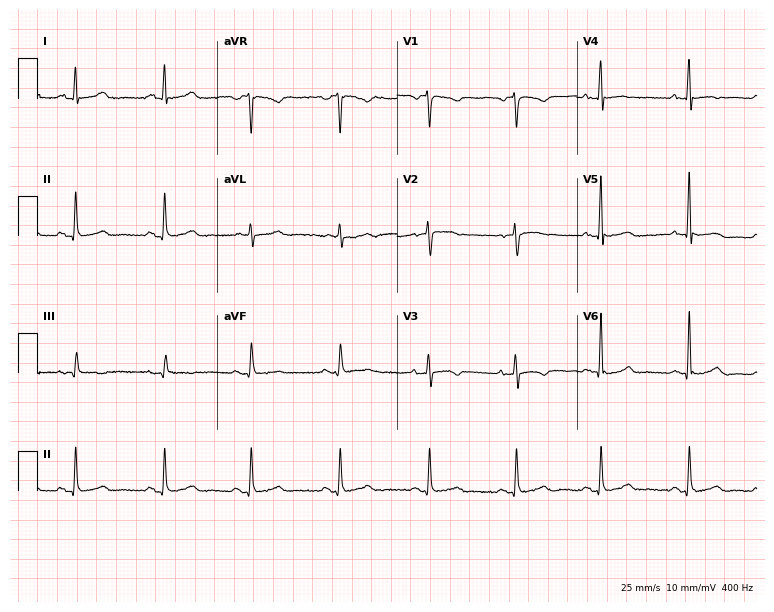
ECG (7.3-second recording at 400 Hz) — a 53-year-old woman. Labelled as a normal ECG.